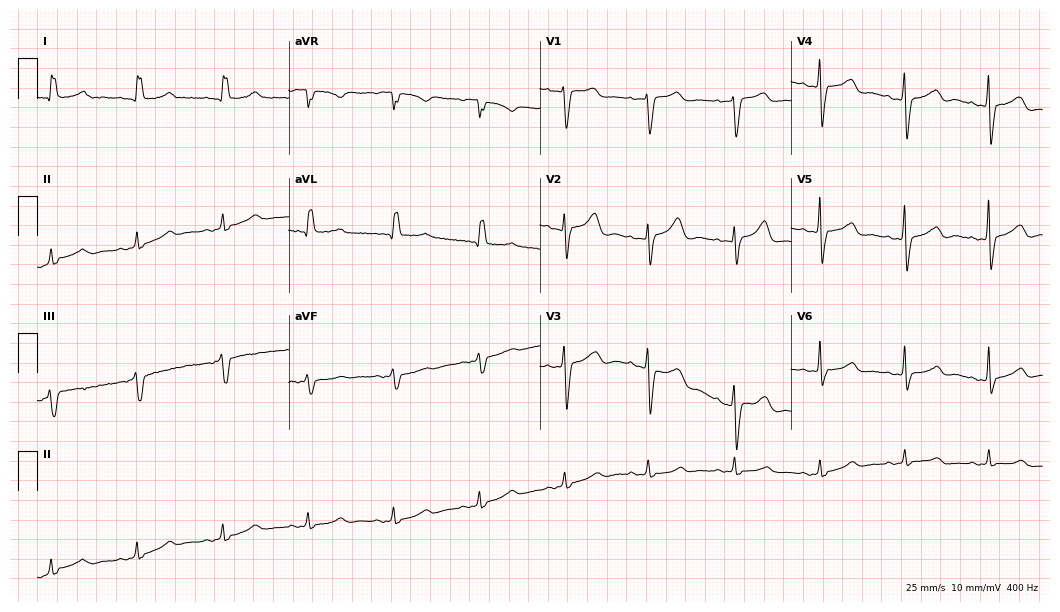
12-lead ECG from a female patient, 85 years old (10.2-second recording at 400 Hz). No first-degree AV block, right bundle branch block, left bundle branch block, sinus bradycardia, atrial fibrillation or sinus tachycardia recorded for this tracing. Only these six findings were labelled.